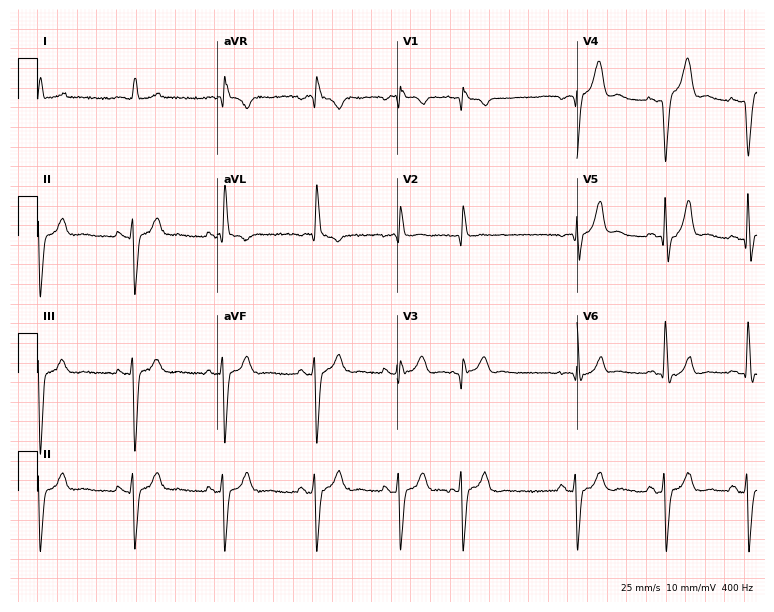
Electrocardiogram (7.3-second recording at 400 Hz), a male, 74 years old. Interpretation includes atrial fibrillation.